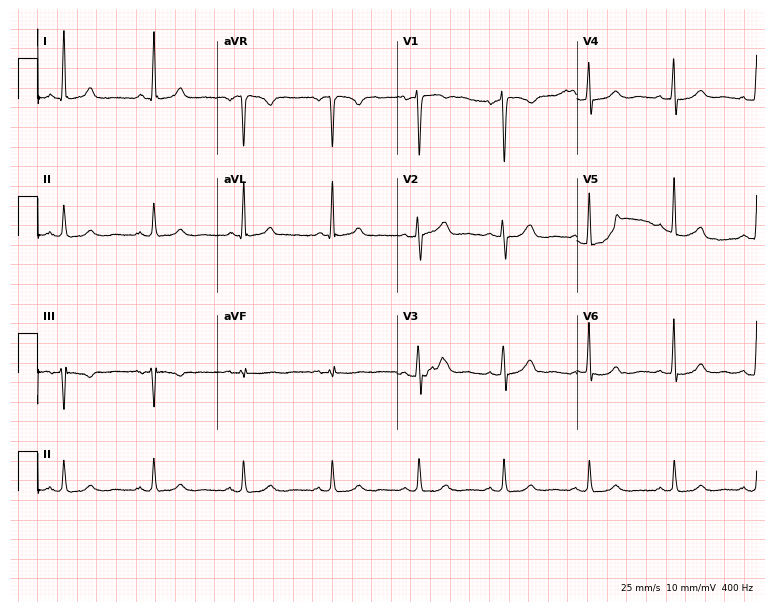
Resting 12-lead electrocardiogram. Patient: a woman, 64 years old. None of these six findings is recorded: first-degree AV block, right bundle branch block, left bundle branch block, sinus bradycardia, atrial fibrillation, sinus tachycardia. Other findings, if any, are not listed.